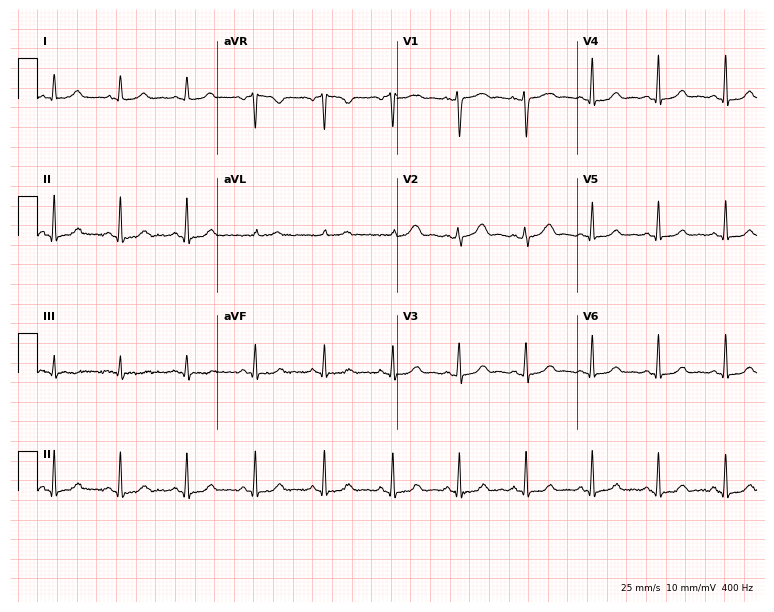
Resting 12-lead electrocardiogram. Patient: a 45-year-old female. Read as a normal ECG.